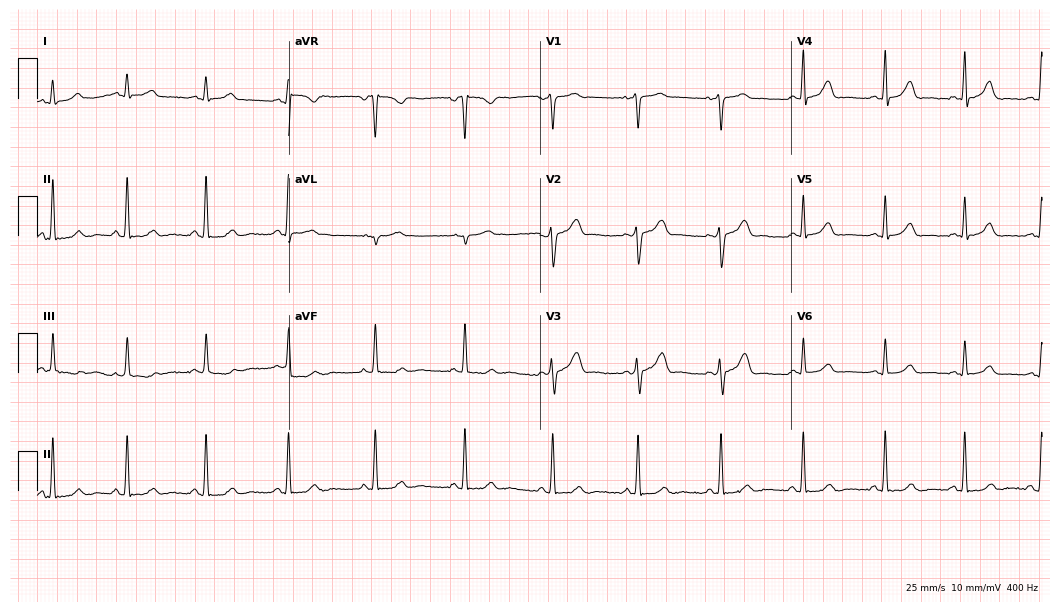
Resting 12-lead electrocardiogram. Patient: a female, 31 years old. Read as a normal ECG.